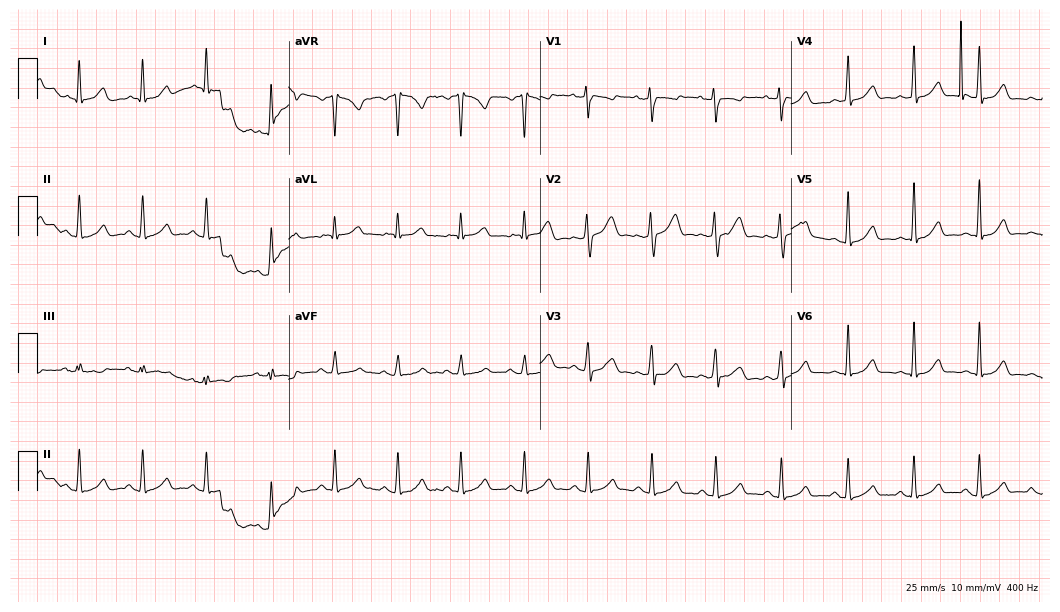
12-lead ECG from a 52-year-old woman. Screened for six findings — first-degree AV block, right bundle branch block, left bundle branch block, sinus bradycardia, atrial fibrillation, sinus tachycardia — none is recorded. Only these six findings were labelled.